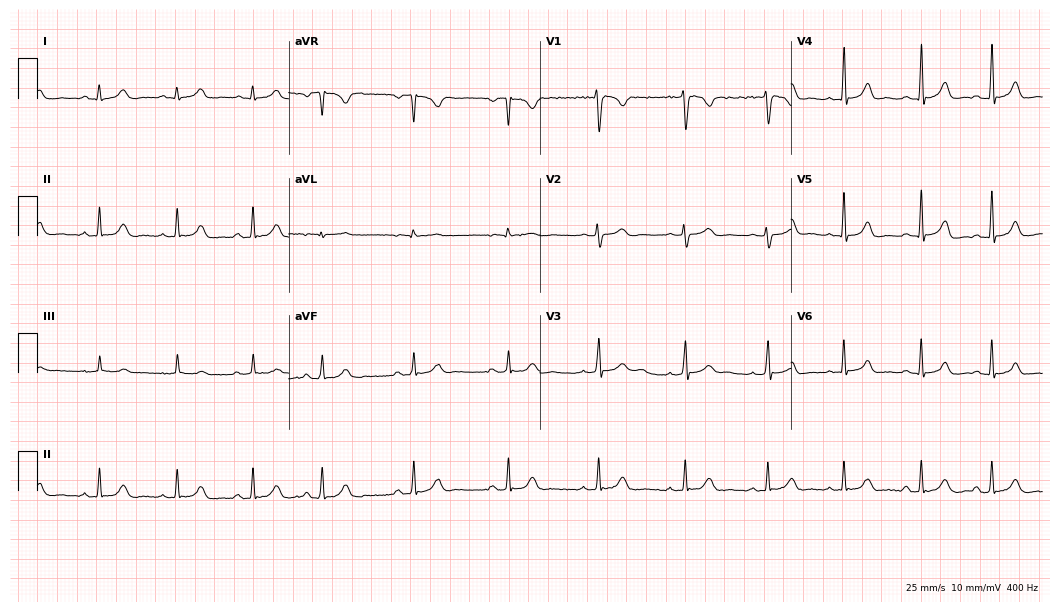
Electrocardiogram, a female patient, 18 years old. Overall reading on record: normal ECG.